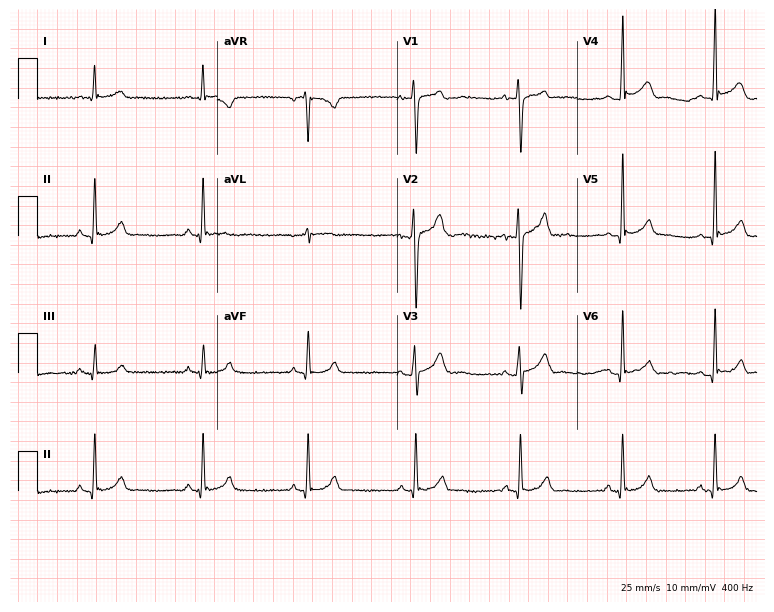
Resting 12-lead electrocardiogram. Patient: a 19-year-old man. Read as a normal ECG.